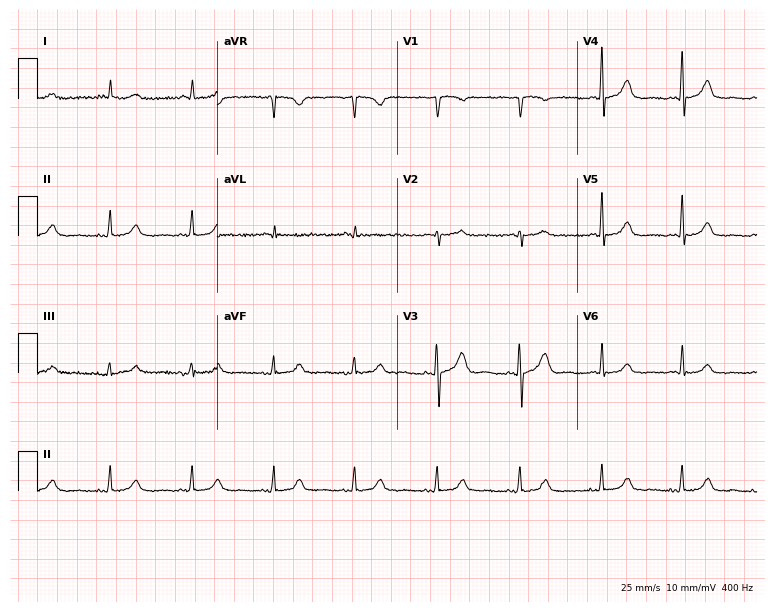
ECG (7.3-second recording at 400 Hz) — a 71-year-old female. Labelled as a normal ECG.